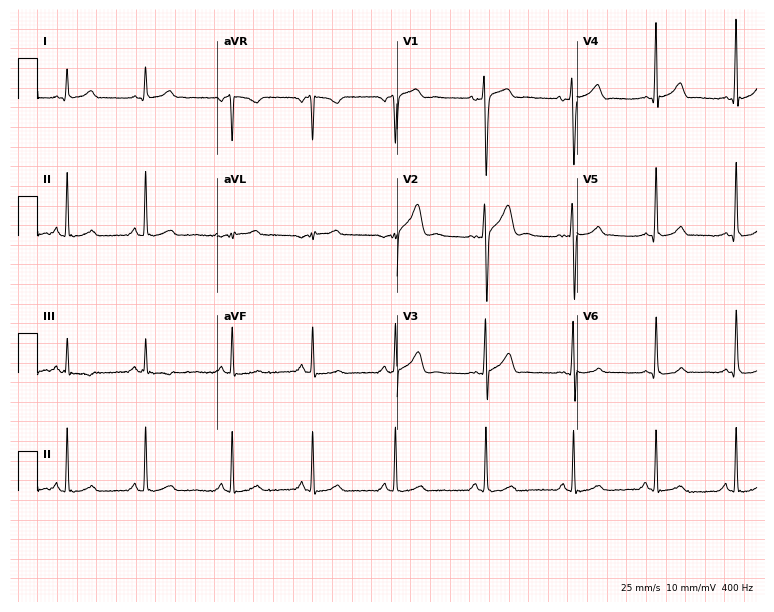
Standard 12-lead ECG recorded from a man, 23 years old. Read as a normal ECG.